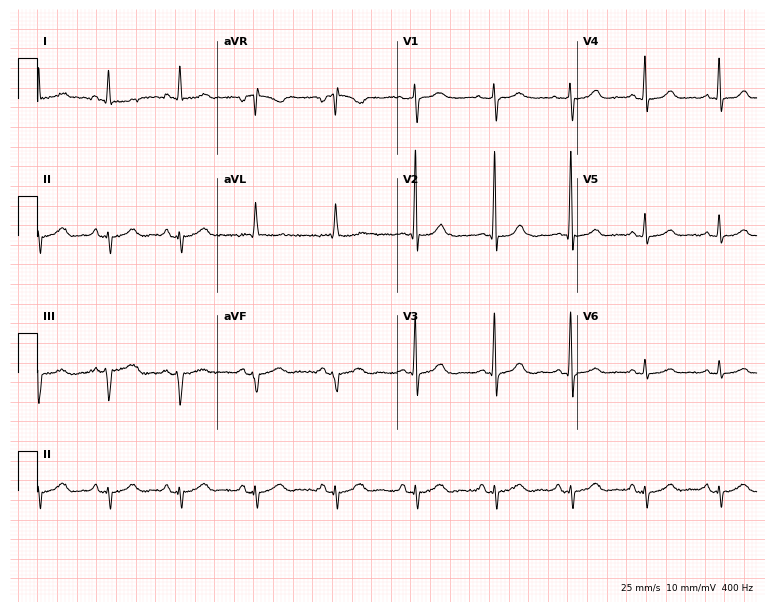
ECG — a woman, 82 years old. Screened for six findings — first-degree AV block, right bundle branch block, left bundle branch block, sinus bradycardia, atrial fibrillation, sinus tachycardia — none is recorded.